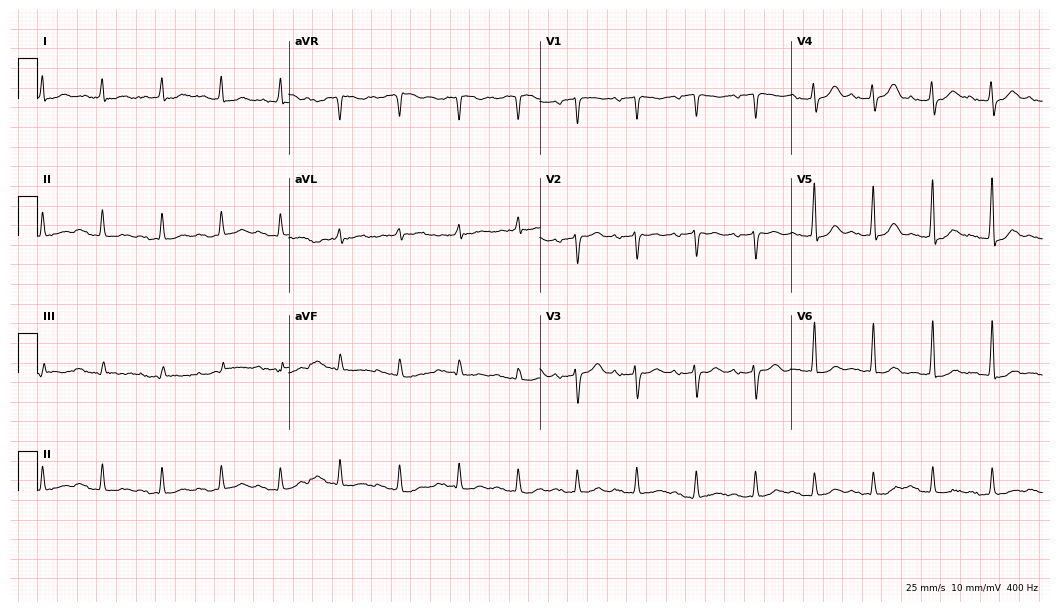
ECG — a male, 78 years old. Findings include first-degree AV block.